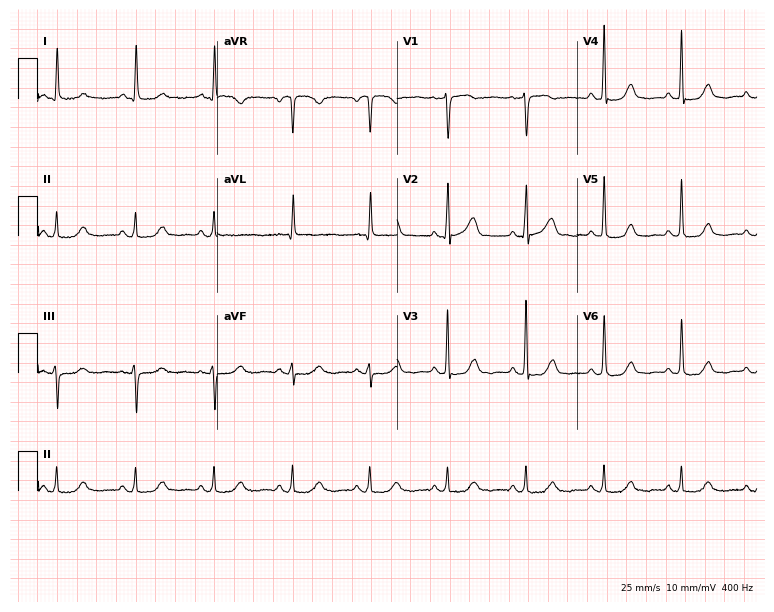
Resting 12-lead electrocardiogram (7.3-second recording at 400 Hz). Patient: an 81-year-old female. Read as a normal ECG.